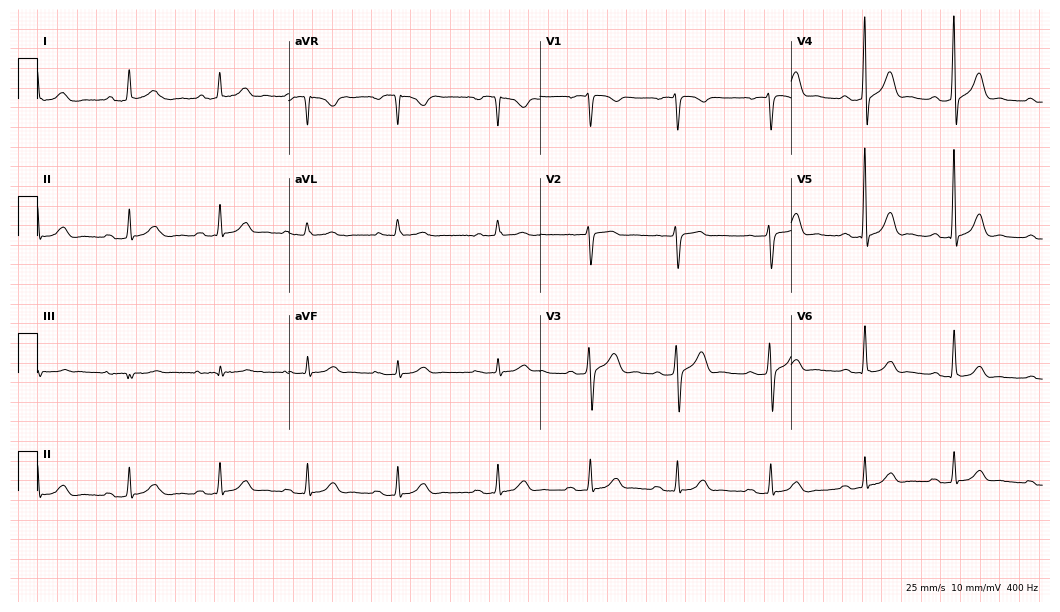
12-lead ECG from a male, 43 years old. Labelled as a normal ECG.